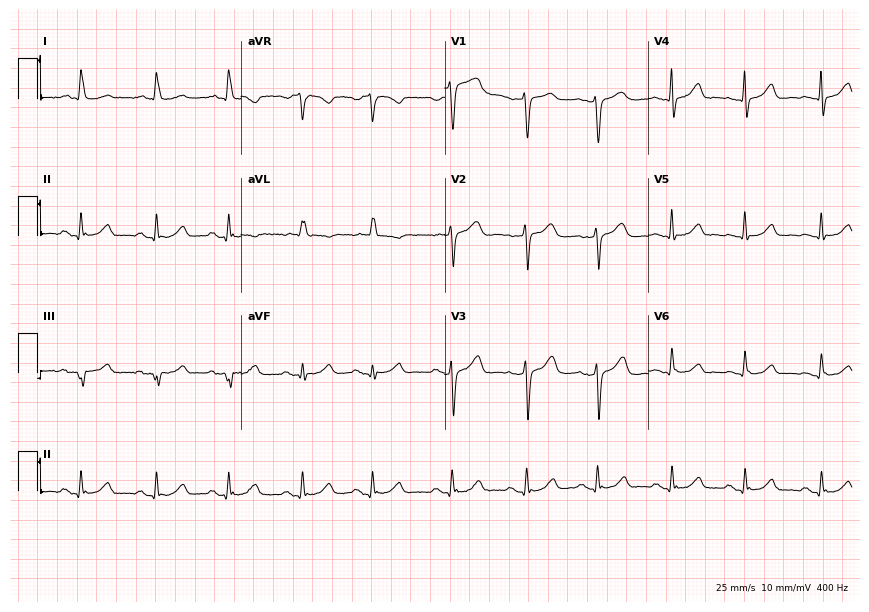
Standard 12-lead ECG recorded from a 51-year-old female (8.3-second recording at 400 Hz). None of these six findings is recorded: first-degree AV block, right bundle branch block, left bundle branch block, sinus bradycardia, atrial fibrillation, sinus tachycardia.